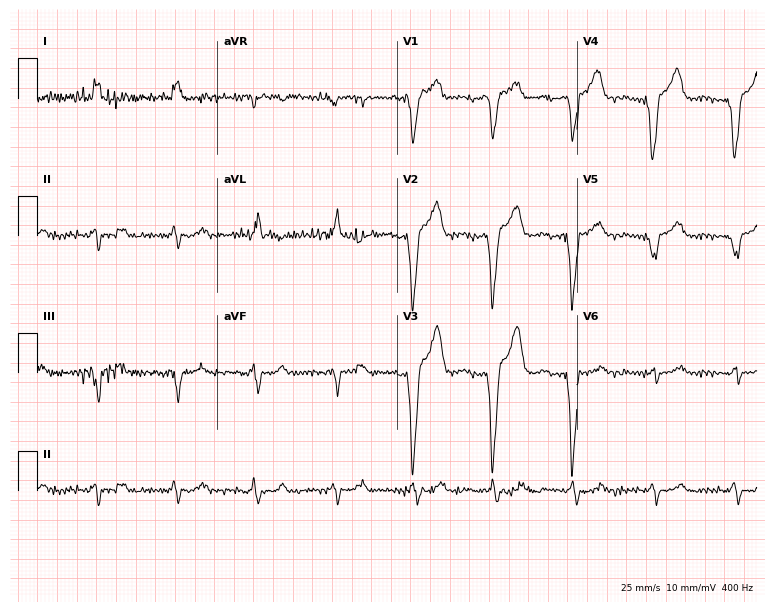
12-lead ECG from a 75-year-old woman. Screened for six findings — first-degree AV block, right bundle branch block (RBBB), left bundle branch block (LBBB), sinus bradycardia, atrial fibrillation (AF), sinus tachycardia — none is recorded.